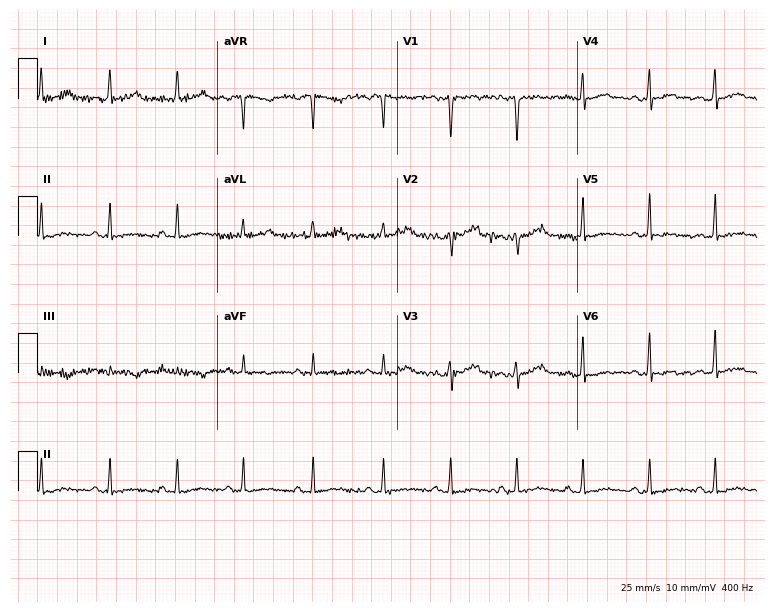
12-lead ECG (7.3-second recording at 400 Hz) from a female, 22 years old. Screened for six findings — first-degree AV block, right bundle branch block, left bundle branch block, sinus bradycardia, atrial fibrillation, sinus tachycardia — none is recorded. Findings outside these six are not listed.